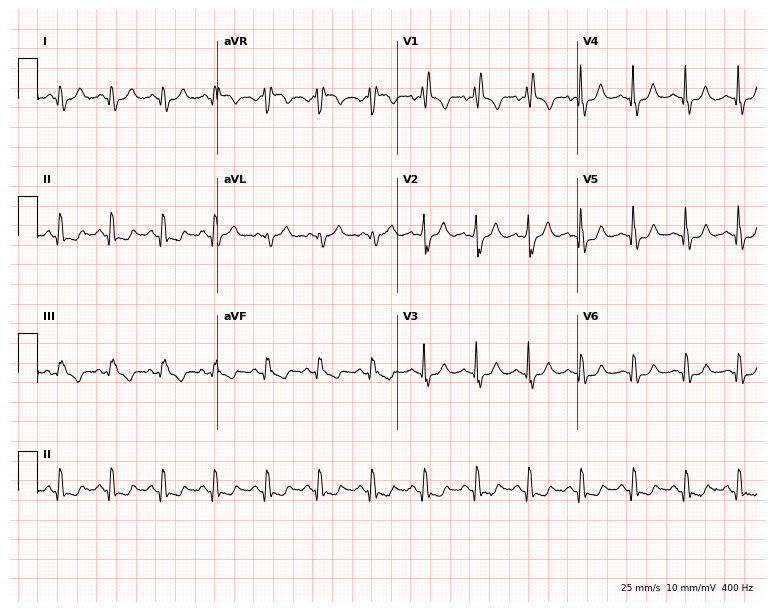
Electrocardiogram, a 77-year-old female patient. Interpretation includes right bundle branch block (RBBB), sinus tachycardia (a sinus rate of 100 beats per minute or more).